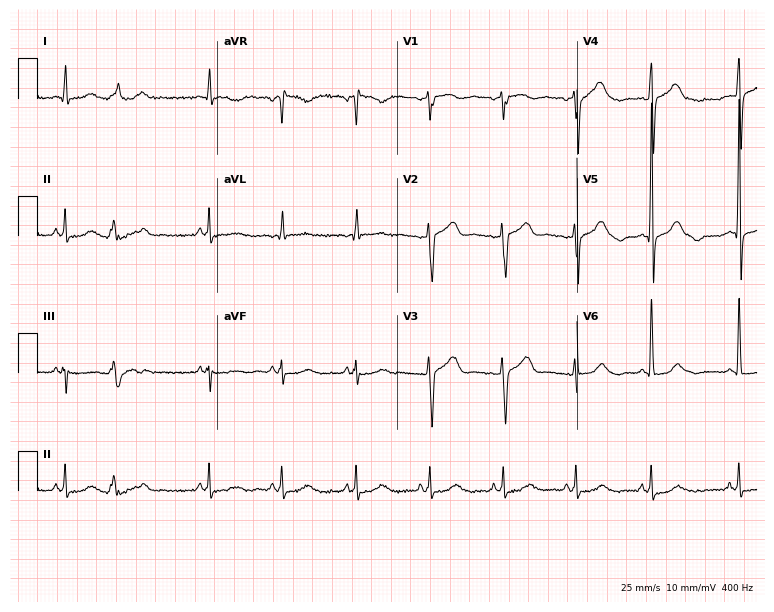
Standard 12-lead ECG recorded from a 56-year-old man (7.3-second recording at 400 Hz). None of these six findings is recorded: first-degree AV block, right bundle branch block, left bundle branch block, sinus bradycardia, atrial fibrillation, sinus tachycardia. Only these six findings were labelled.